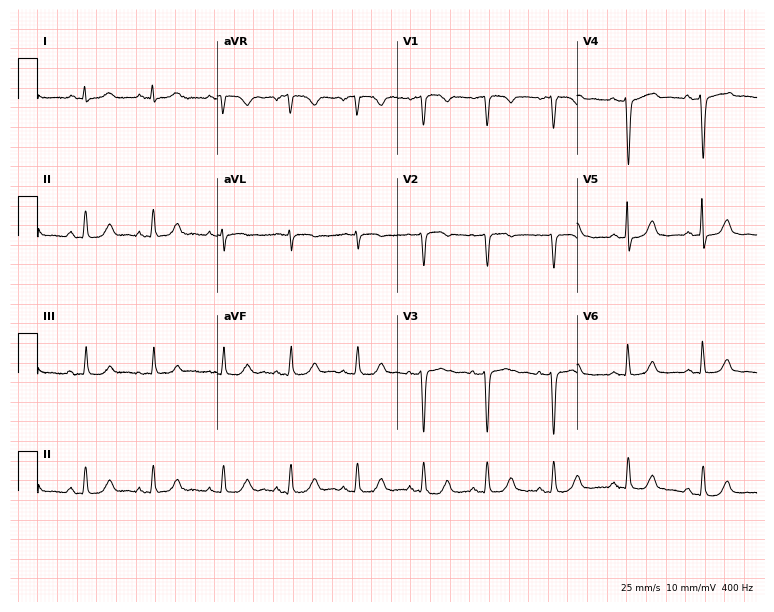
Resting 12-lead electrocardiogram (7.3-second recording at 400 Hz). Patient: a 50-year-old woman. None of these six findings is recorded: first-degree AV block, right bundle branch block, left bundle branch block, sinus bradycardia, atrial fibrillation, sinus tachycardia. Findings outside these six are not listed.